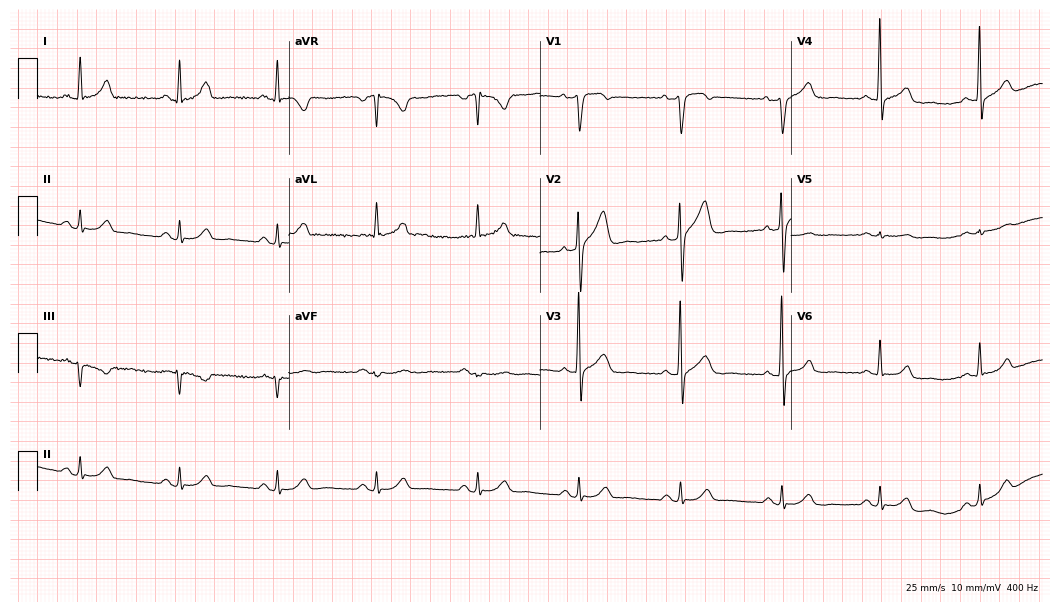
12-lead ECG (10.2-second recording at 400 Hz) from a 59-year-old man. Findings include sinus bradycardia (a sinus rate of 50 beats per minute or less).